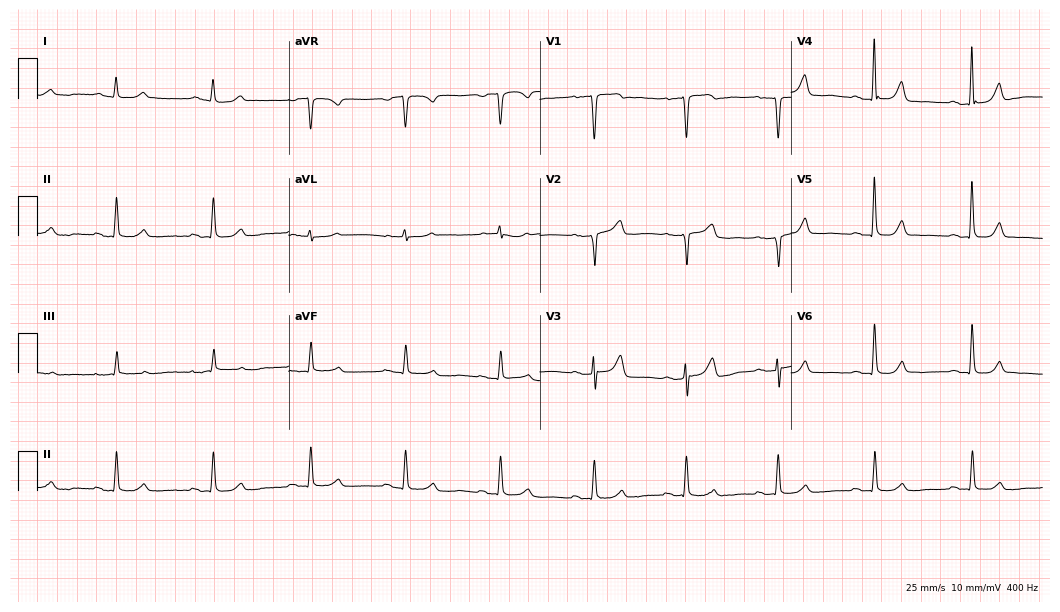
12-lead ECG from a female, 64 years old. Labelled as a normal ECG.